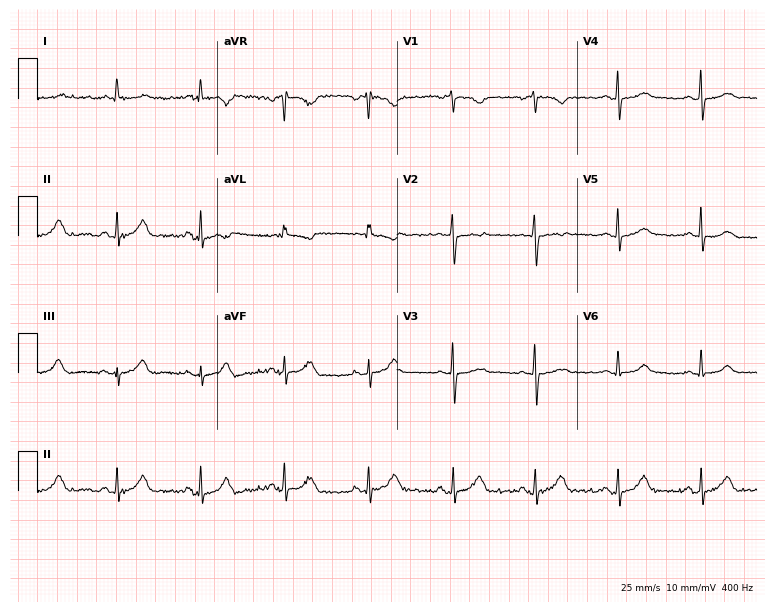
12-lead ECG from a female, 55 years old. Recorded interpretation: within normal limits.